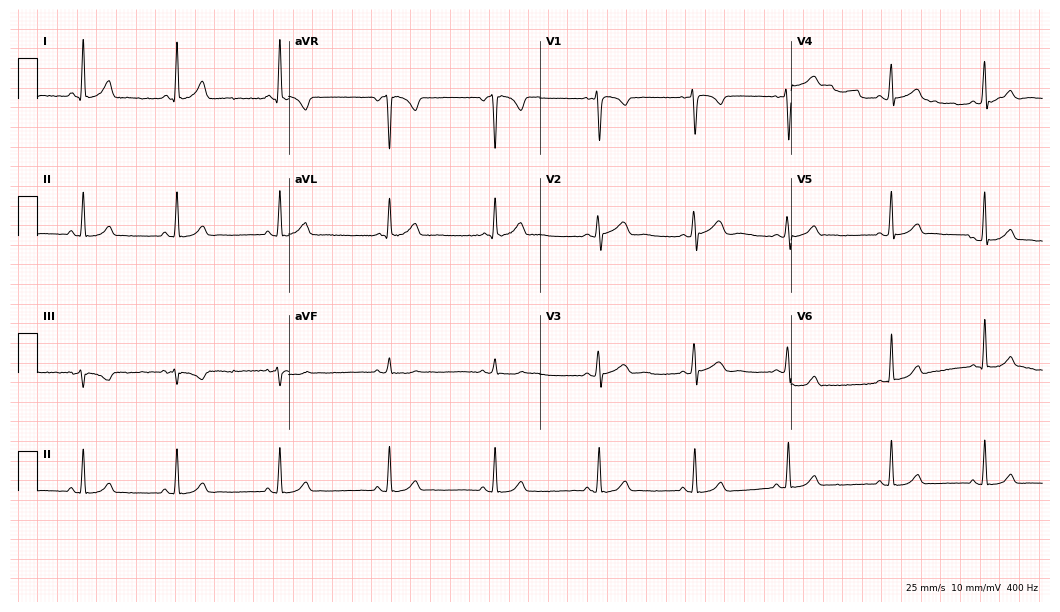
12-lead ECG from a 17-year-old woman. Labelled as a normal ECG.